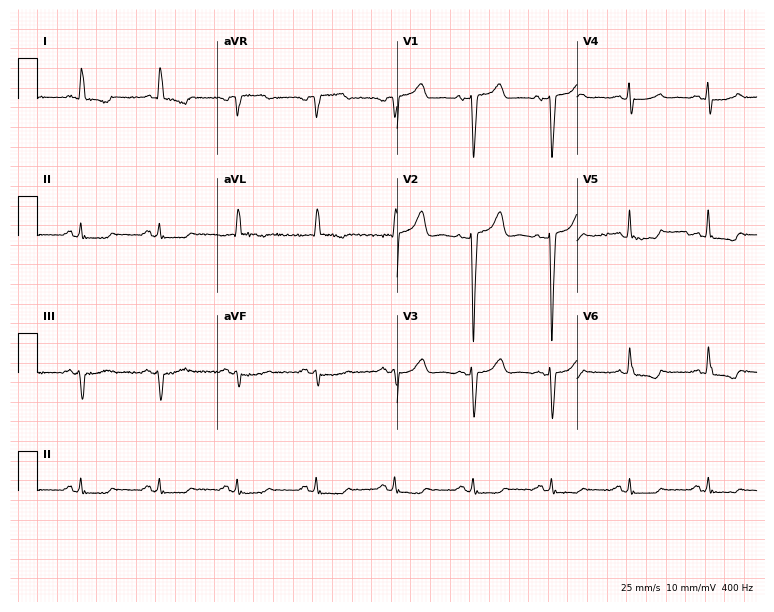
12-lead ECG from a woman, 81 years old. Screened for six findings — first-degree AV block, right bundle branch block, left bundle branch block, sinus bradycardia, atrial fibrillation, sinus tachycardia — none is recorded. Findings outside these six are not listed.